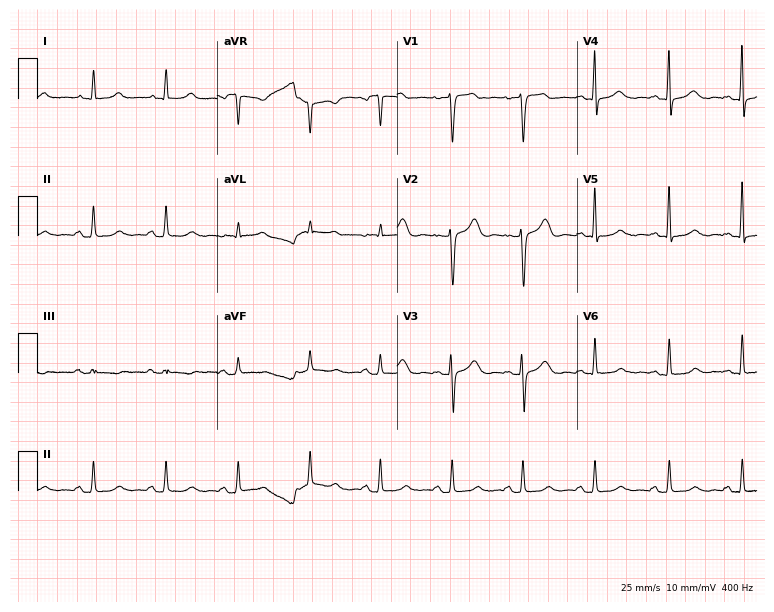
12-lead ECG from a woman, 56 years old (7.3-second recording at 400 Hz). Recorded interpretation: within normal limits.